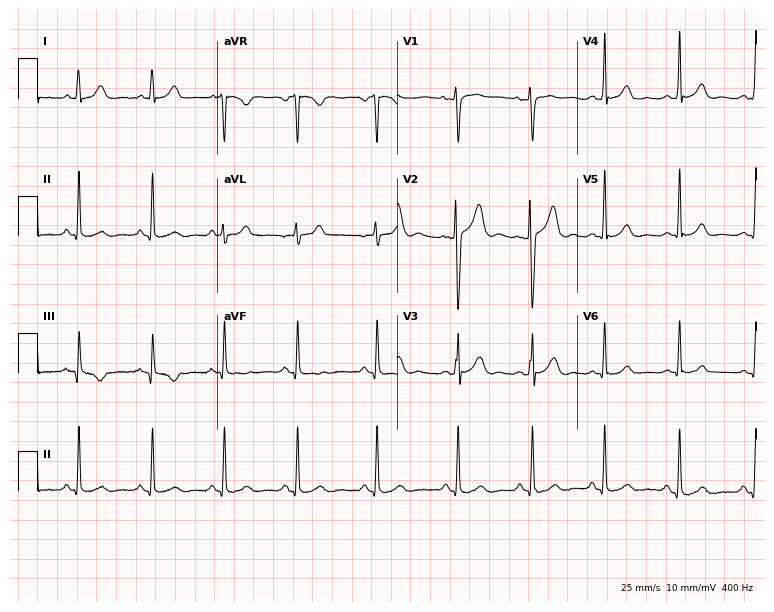
Resting 12-lead electrocardiogram (7.3-second recording at 400 Hz). Patient: an 18-year-old female. None of these six findings is recorded: first-degree AV block, right bundle branch block, left bundle branch block, sinus bradycardia, atrial fibrillation, sinus tachycardia. Other findings, if any, are not listed.